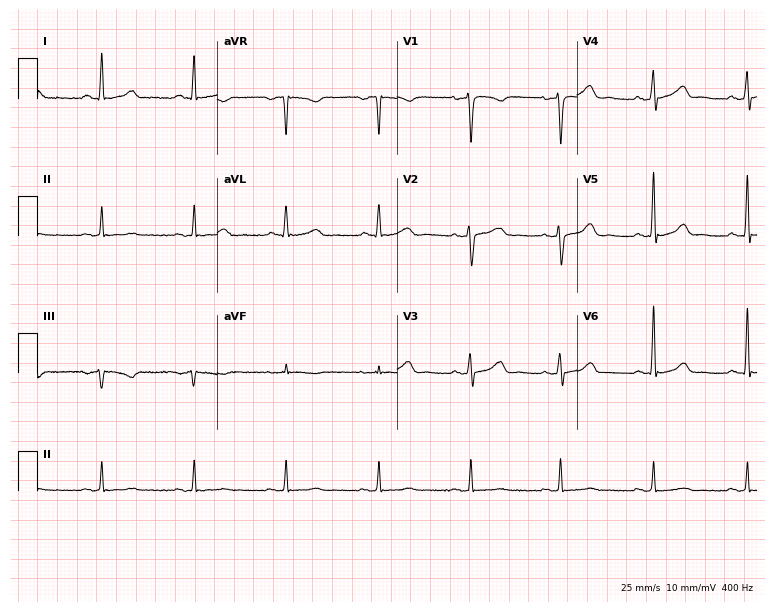
ECG — a female, 59 years old. Labelled as a normal ECG.